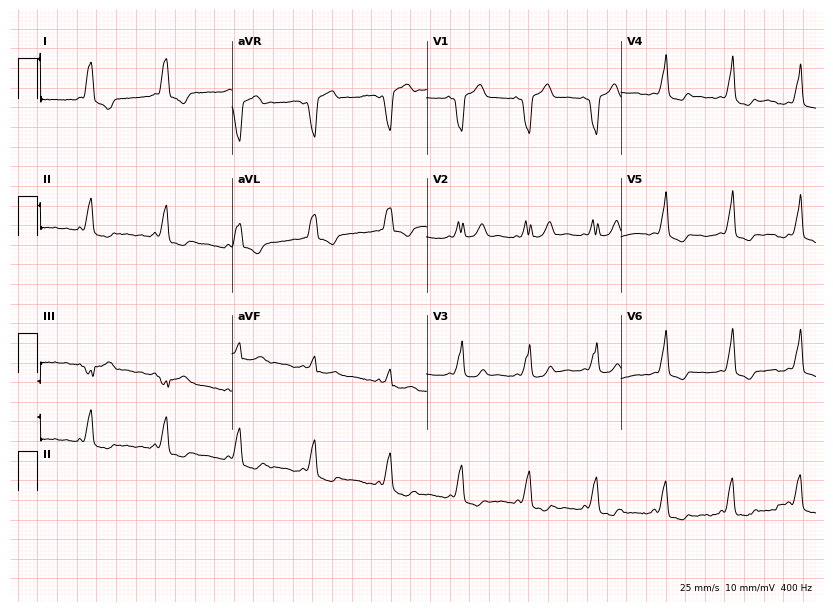
12-lead ECG from a woman, 28 years old (7.9-second recording at 400 Hz). No first-degree AV block, right bundle branch block, left bundle branch block, sinus bradycardia, atrial fibrillation or sinus tachycardia recorded for this tracing. Only these six findings were labelled.